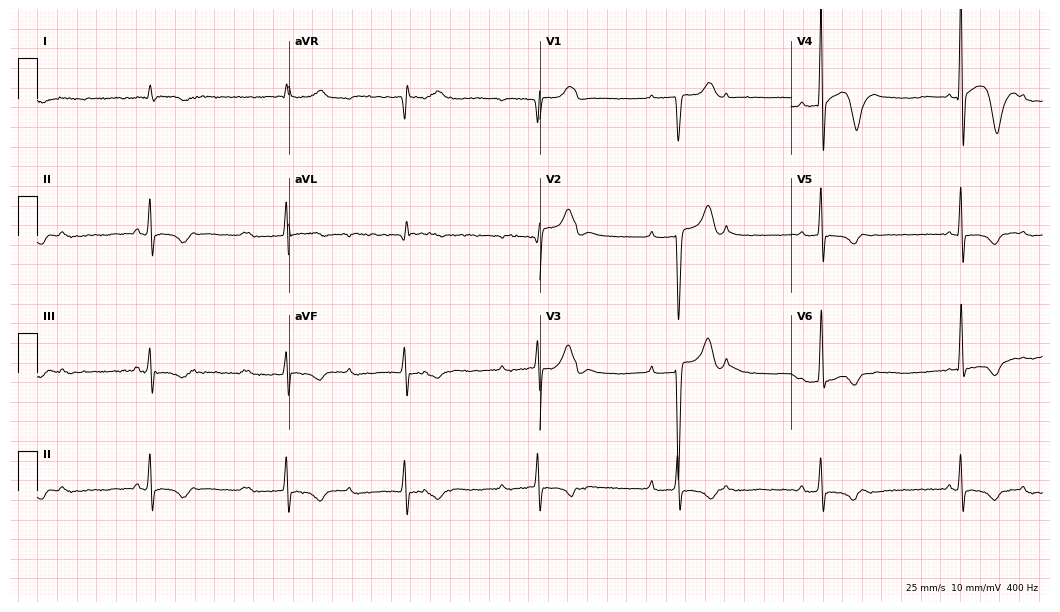
12-lead ECG from a male patient, 75 years old. No first-degree AV block, right bundle branch block (RBBB), left bundle branch block (LBBB), sinus bradycardia, atrial fibrillation (AF) or sinus tachycardia recorded for this tracing.